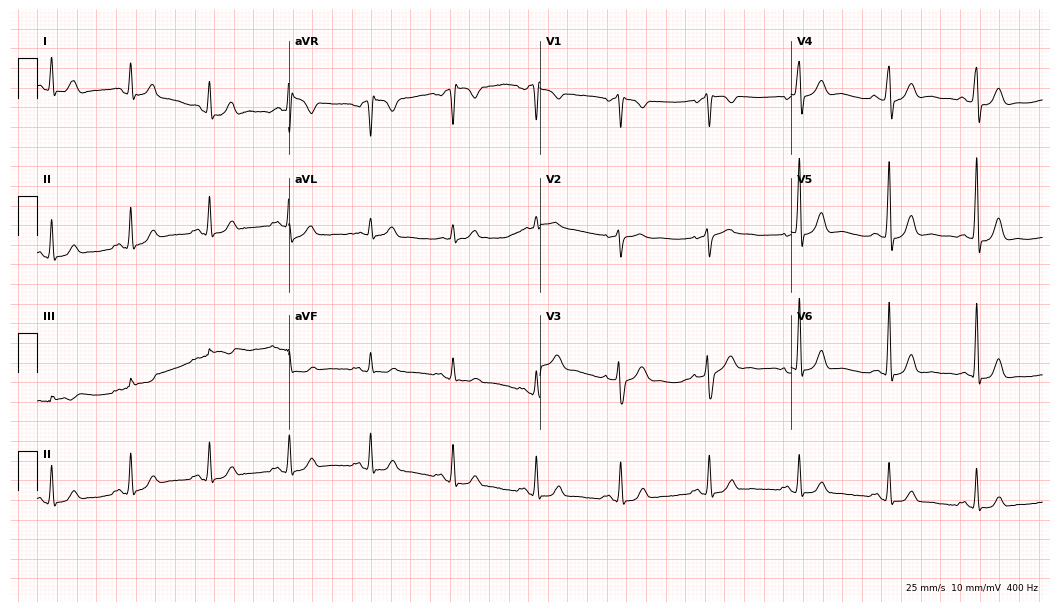
12-lead ECG (10.2-second recording at 400 Hz) from a male patient, 57 years old. Screened for six findings — first-degree AV block, right bundle branch block (RBBB), left bundle branch block (LBBB), sinus bradycardia, atrial fibrillation (AF), sinus tachycardia — none is recorded. Findings outside these six are not listed.